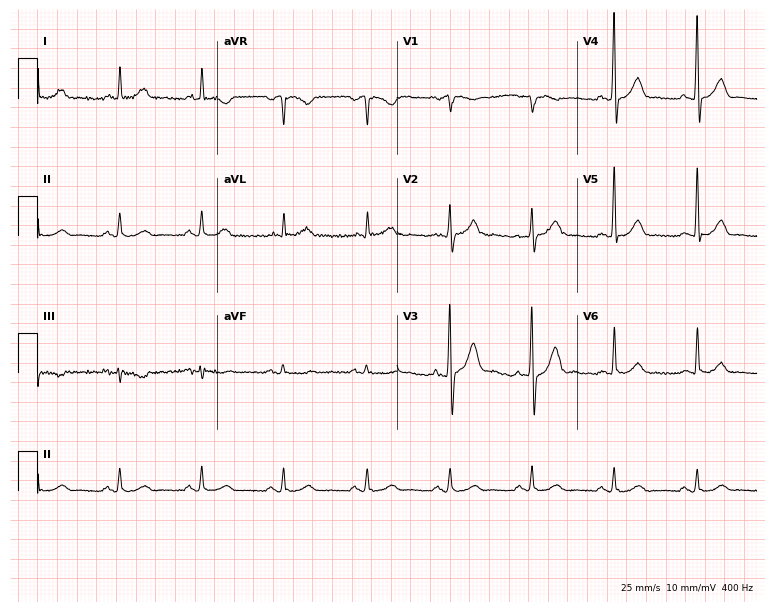
Electrocardiogram, a 67-year-old male. Overall reading on record: normal ECG.